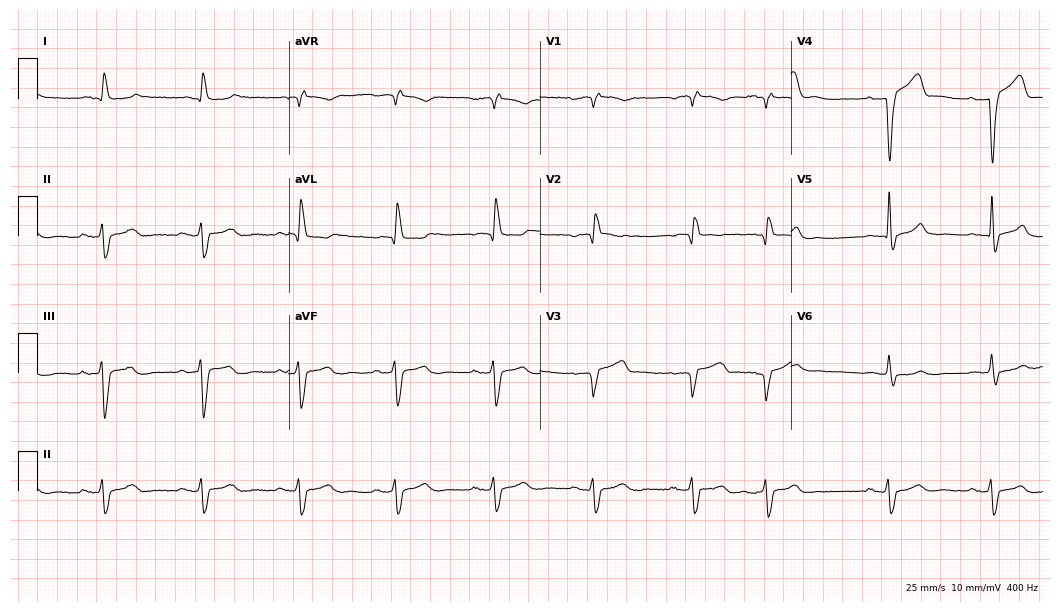
12-lead ECG from a male patient, 85 years old. Shows right bundle branch block.